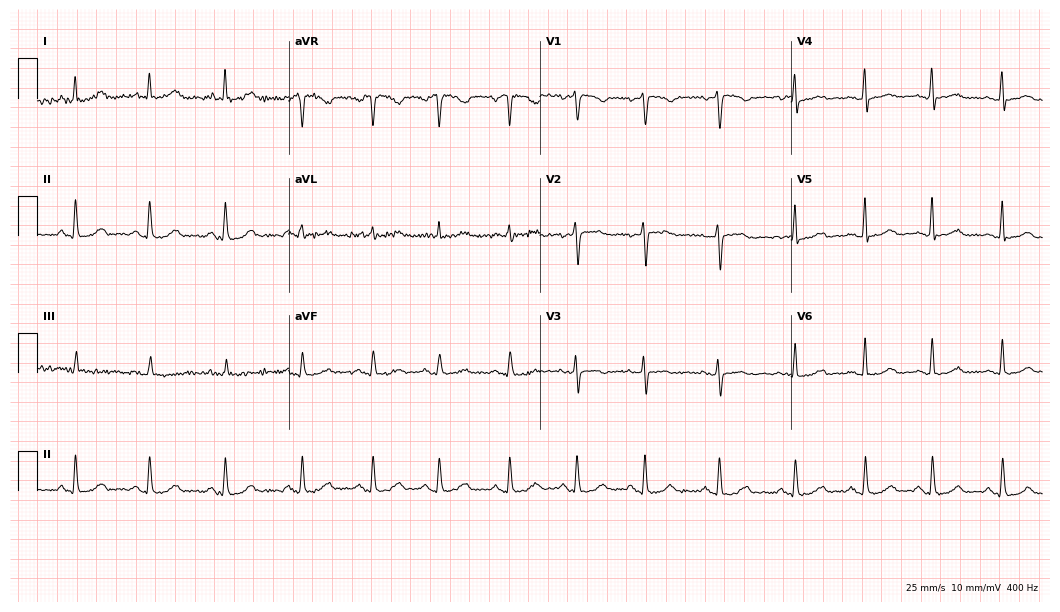
12-lead ECG (10.2-second recording at 400 Hz) from a 46-year-old woman. Labelled as a normal ECG.